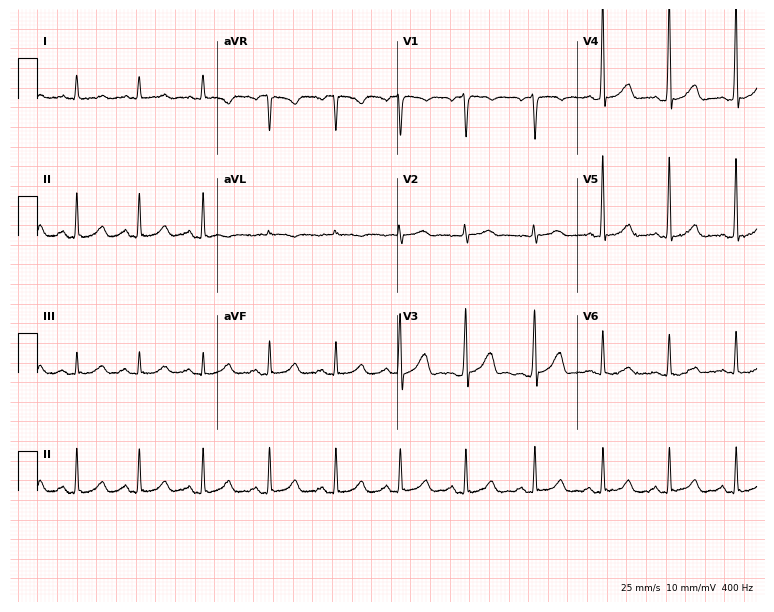
ECG (7.3-second recording at 400 Hz) — a man, 38 years old. Labelled as a normal ECG.